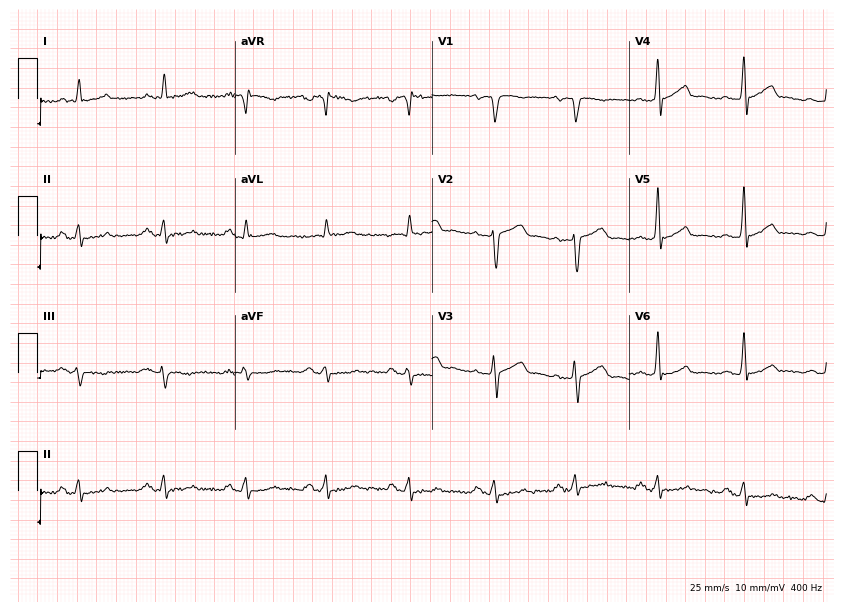
Electrocardiogram, a 54-year-old male. Of the six screened findings (first-degree AV block, right bundle branch block, left bundle branch block, sinus bradycardia, atrial fibrillation, sinus tachycardia), none is recorded.